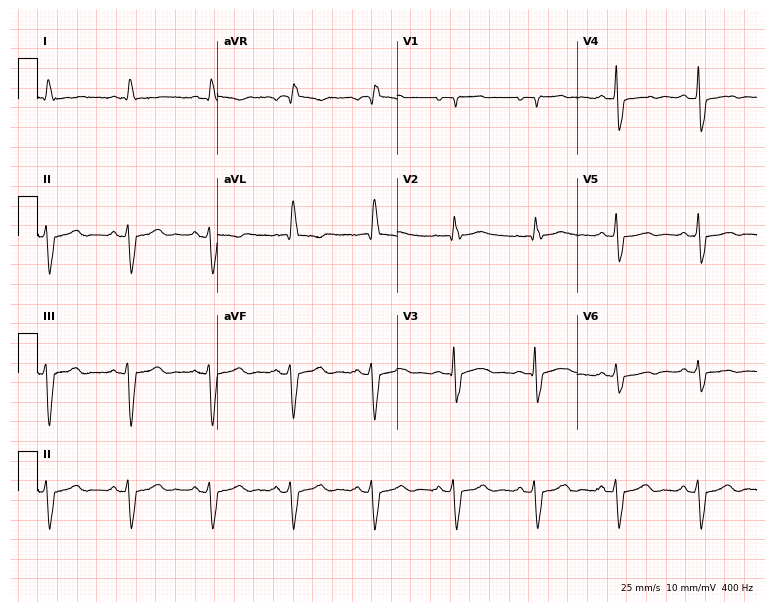
Resting 12-lead electrocardiogram. Patient: a man, 82 years old. The tracing shows right bundle branch block.